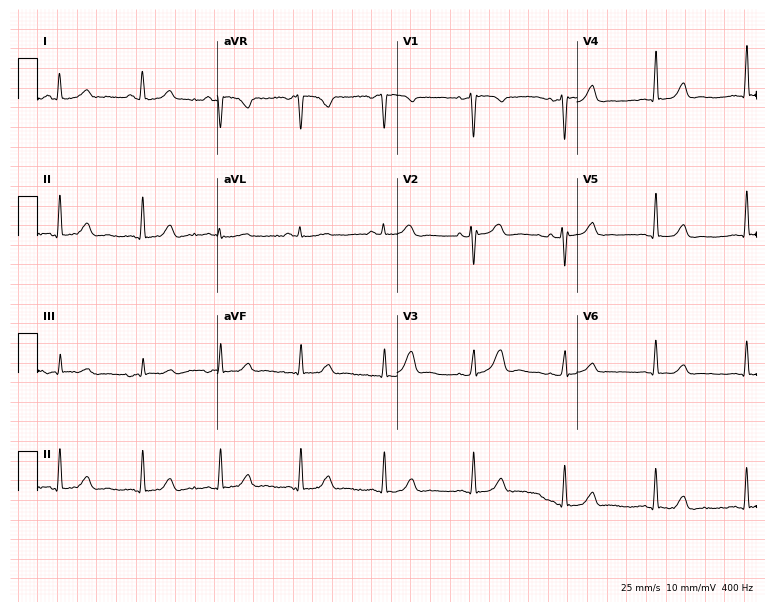
Electrocardiogram (7.3-second recording at 400 Hz), a 48-year-old female. Of the six screened findings (first-degree AV block, right bundle branch block, left bundle branch block, sinus bradycardia, atrial fibrillation, sinus tachycardia), none is recorded. Other findings, if any, are not listed.